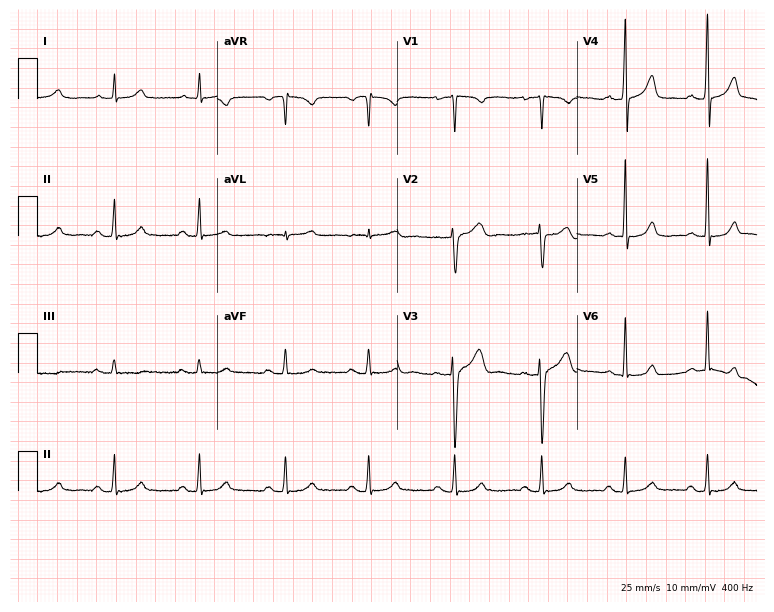
ECG — a 38-year-old male. Labelled as a normal ECG.